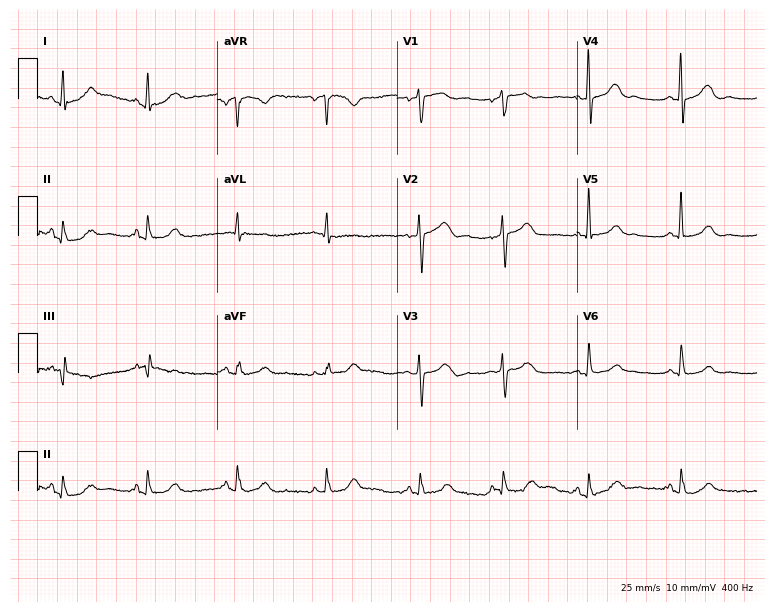
12-lead ECG from a 69-year-old woman (7.3-second recording at 400 Hz). Recorded interpretation: within normal limits.